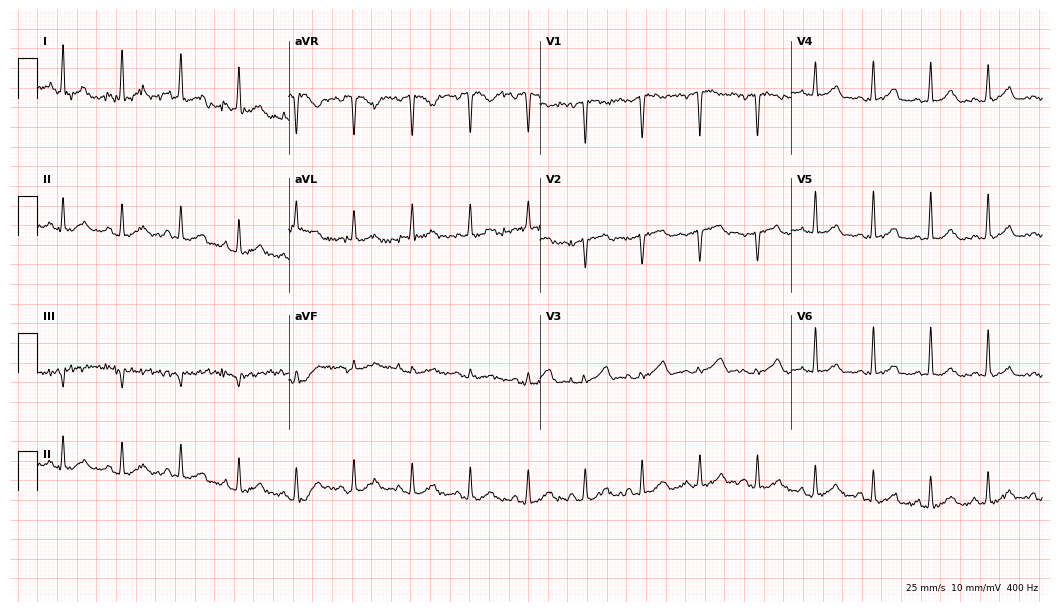
12-lead ECG from a 38-year-old female patient (10.2-second recording at 400 Hz). Recorded interpretation: within normal limits.